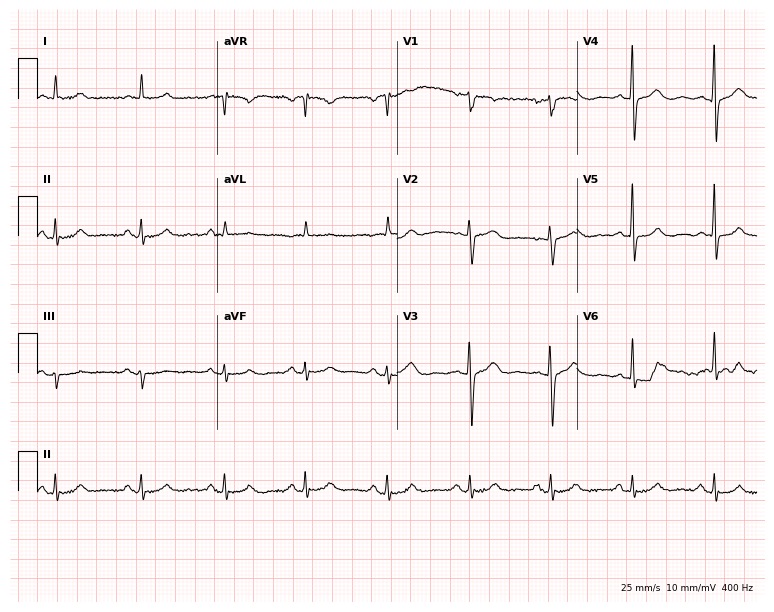
Resting 12-lead electrocardiogram. Patient: a man, 67 years old. Read as a normal ECG.